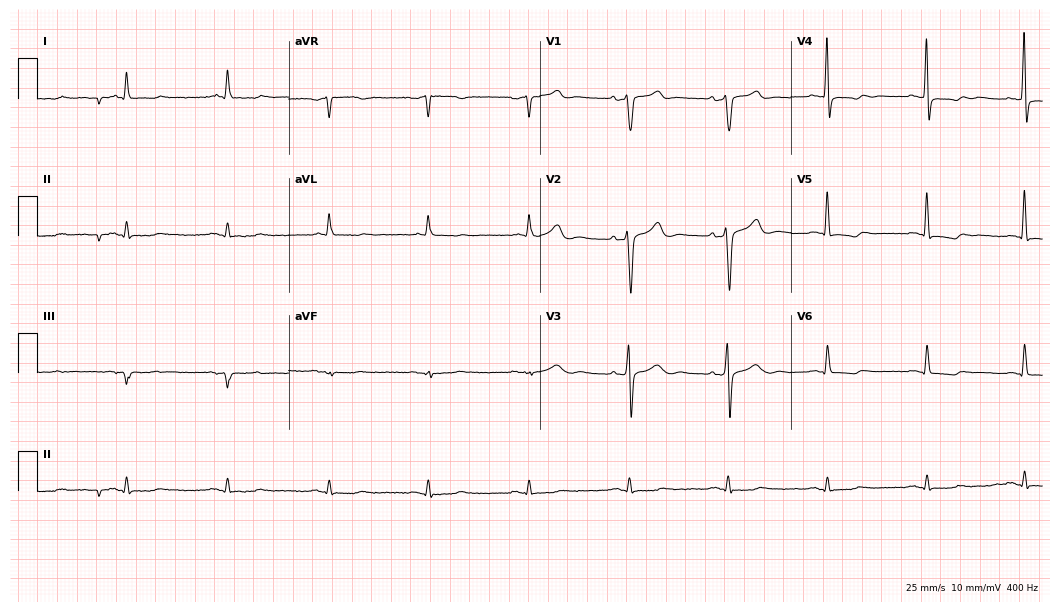
12-lead ECG from a man, 74 years old. No first-degree AV block, right bundle branch block (RBBB), left bundle branch block (LBBB), sinus bradycardia, atrial fibrillation (AF) or sinus tachycardia recorded for this tracing. Findings outside these six are not listed.